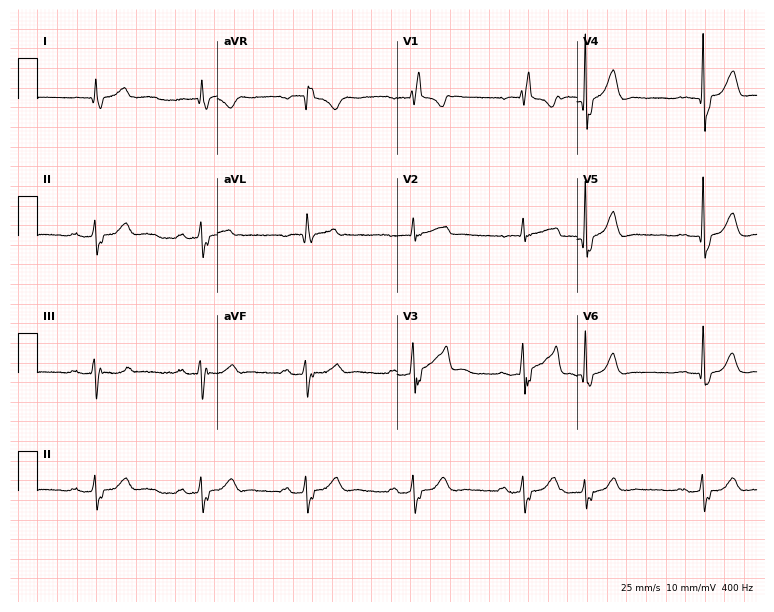
12-lead ECG (7.3-second recording at 400 Hz) from an 82-year-old man. Findings include first-degree AV block, right bundle branch block.